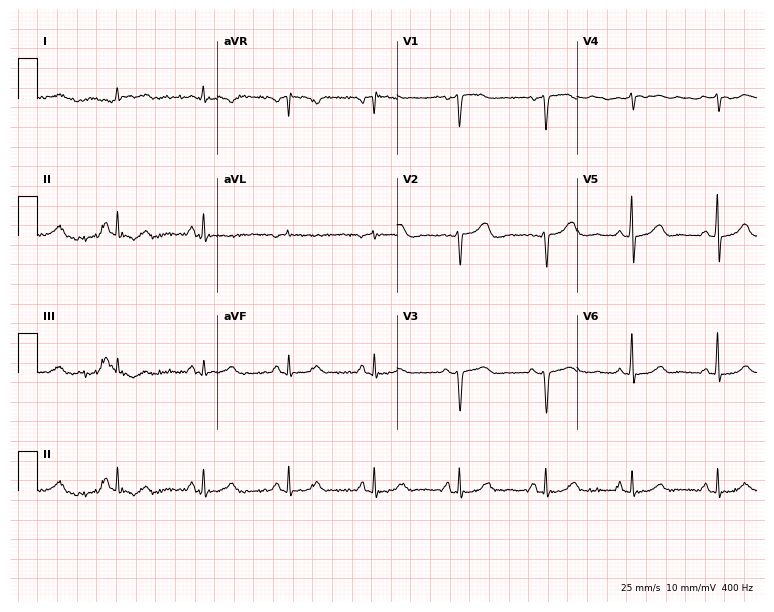
Resting 12-lead electrocardiogram. Patient: a female, 48 years old. Read as a normal ECG.